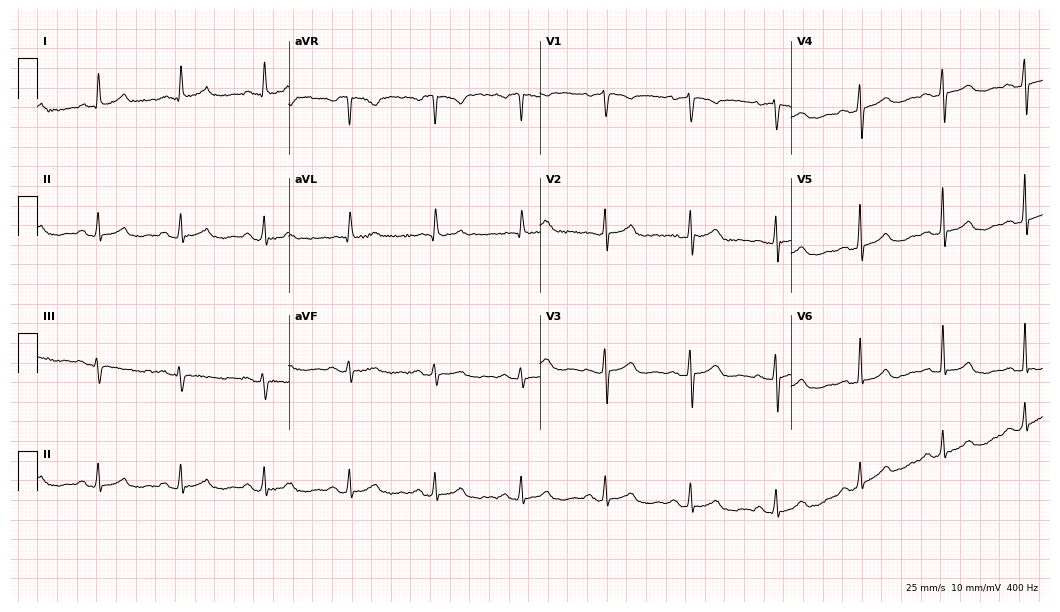
ECG — a female, 64 years old. Screened for six findings — first-degree AV block, right bundle branch block (RBBB), left bundle branch block (LBBB), sinus bradycardia, atrial fibrillation (AF), sinus tachycardia — none is recorded.